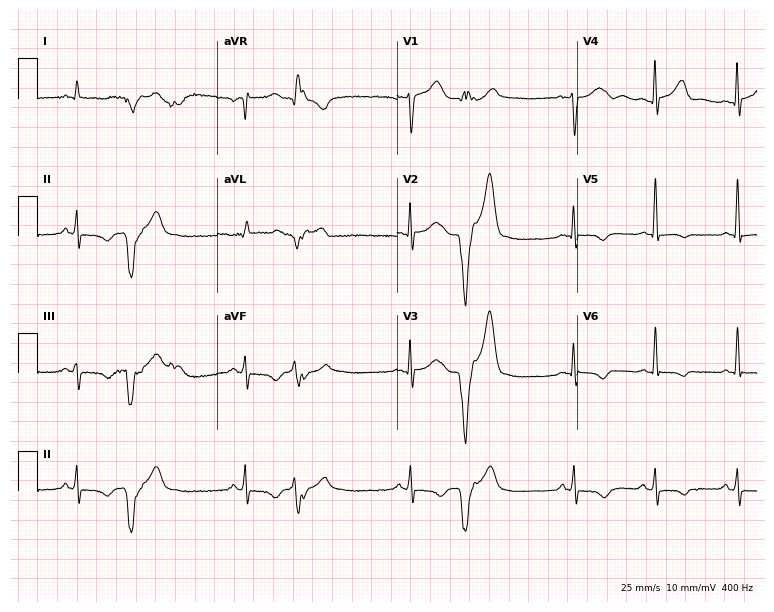
Electrocardiogram (7.3-second recording at 400 Hz), a 72-year-old male patient. Of the six screened findings (first-degree AV block, right bundle branch block, left bundle branch block, sinus bradycardia, atrial fibrillation, sinus tachycardia), none is recorded.